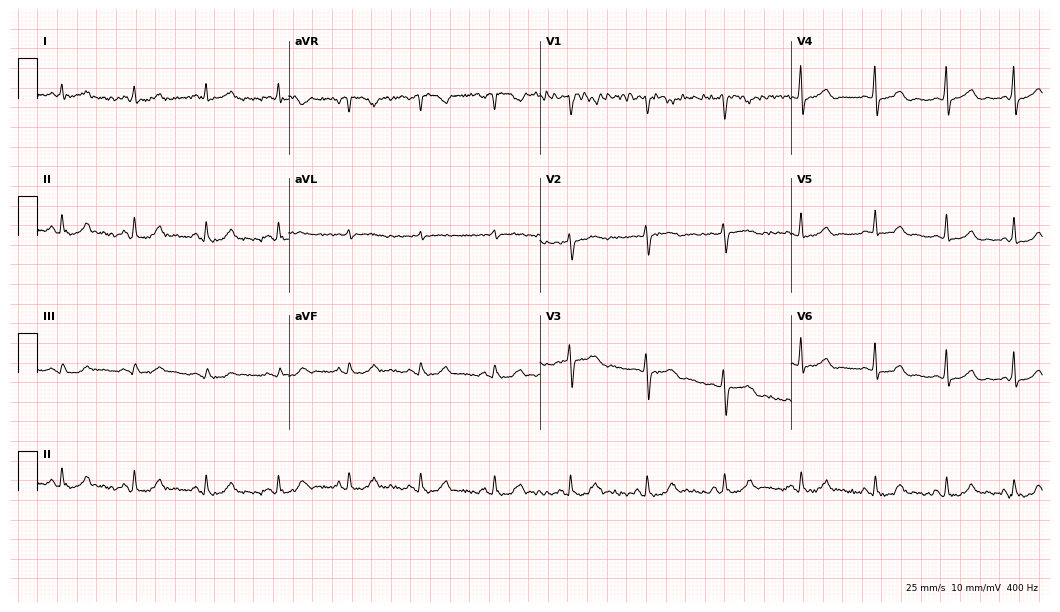
12-lead ECG (10.2-second recording at 400 Hz) from a 45-year-old female. Labelled as a normal ECG.